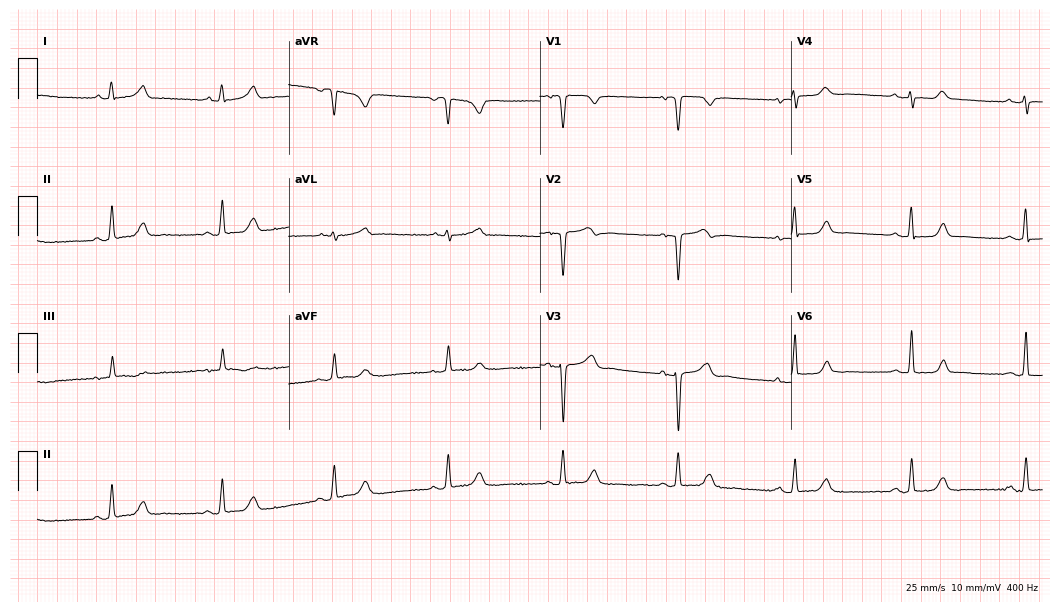
12-lead ECG from a female, 67 years old. Recorded interpretation: within normal limits.